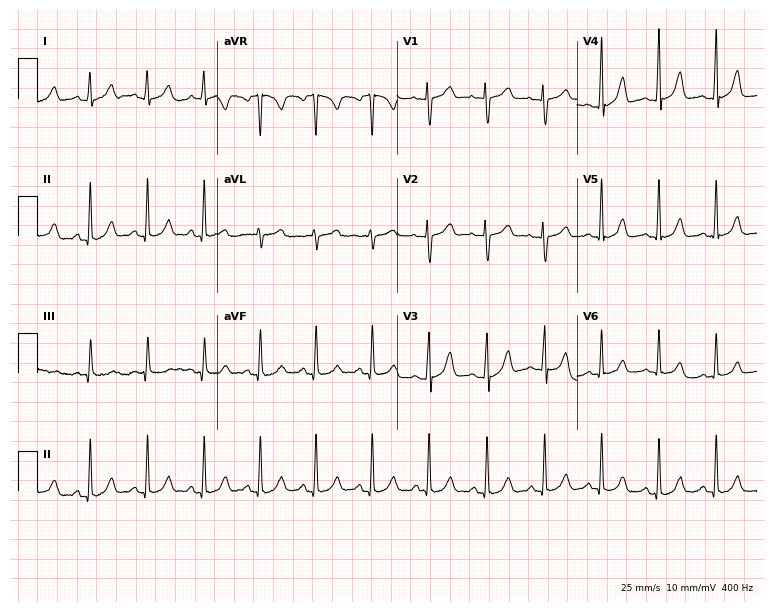
Resting 12-lead electrocardiogram. Patient: a 20-year-old female. The tracing shows sinus tachycardia (a sinus rate of 100 beats per minute or more).